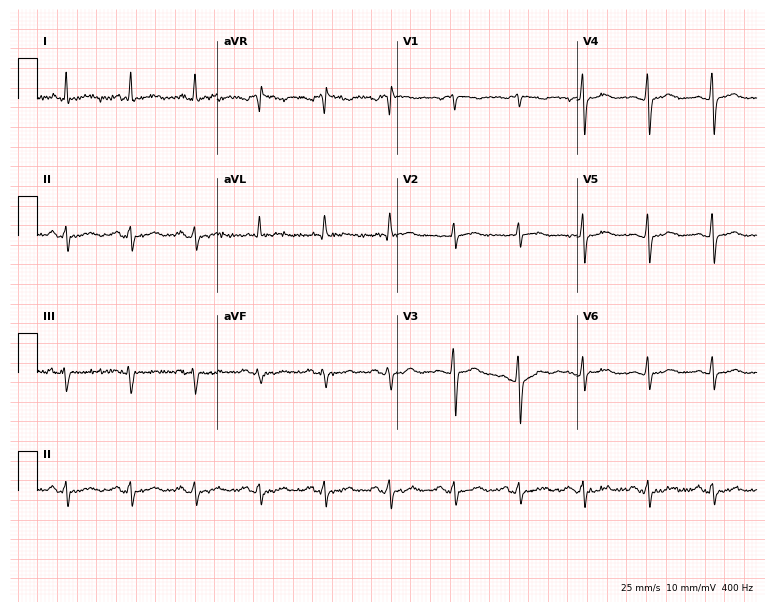
ECG — a woman, 59 years old. Screened for six findings — first-degree AV block, right bundle branch block, left bundle branch block, sinus bradycardia, atrial fibrillation, sinus tachycardia — none is recorded. Only these six findings were labelled.